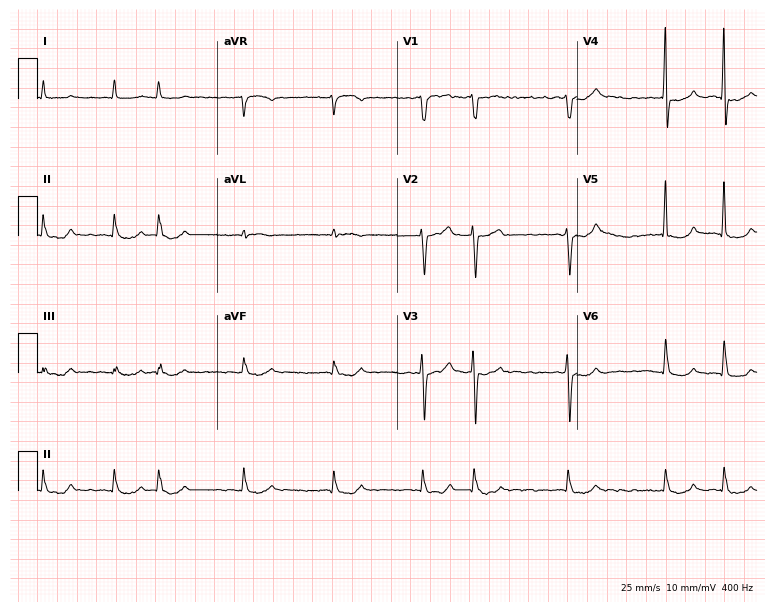
Standard 12-lead ECG recorded from a 75-year-old male (7.3-second recording at 400 Hz). The tracing shows atrial fibrillation (AF).